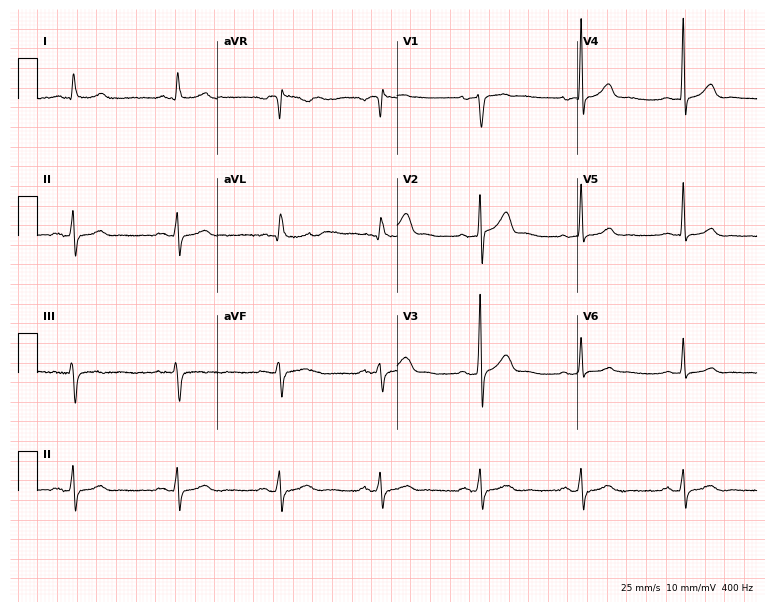
12-lead ECG from a 59-year-old man. No first-degree AV block, right bundle branch block (RBBB), left bundle branch block (LBBB), sinus bradycardia, atrial fibrillation (AF) or sinus tachycardia recorded for this tracing.